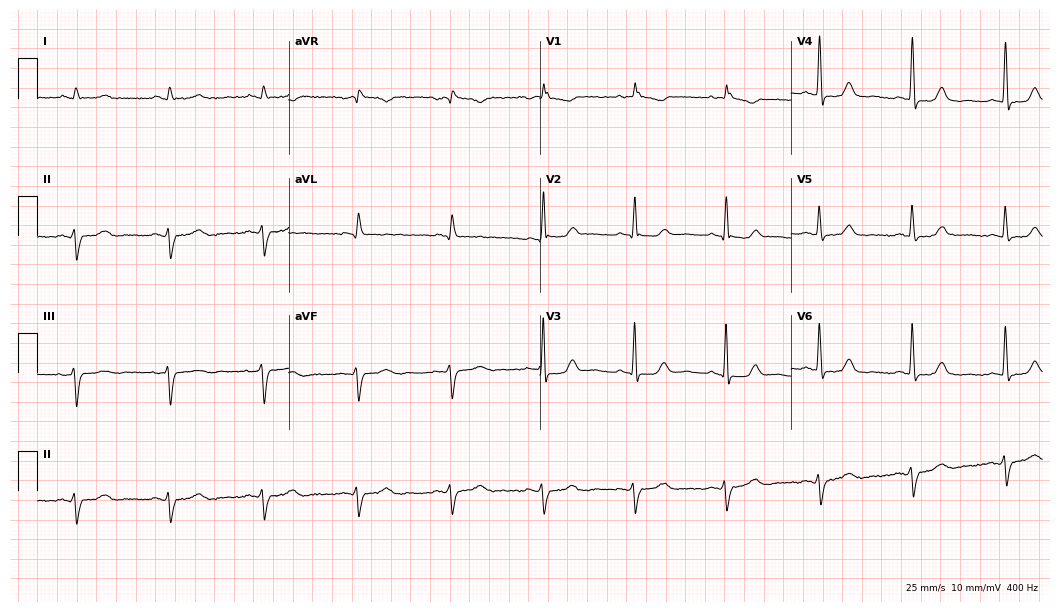
12-lead ECG (10.2-second recording at 400 Hz) from an 87-year-old man. Screened for six findings — first-degree AV block, right bundle branch block, left bundle branch block, sinus bradycardia, atrial fibrillation, sinus tachycardia — none is recorded.